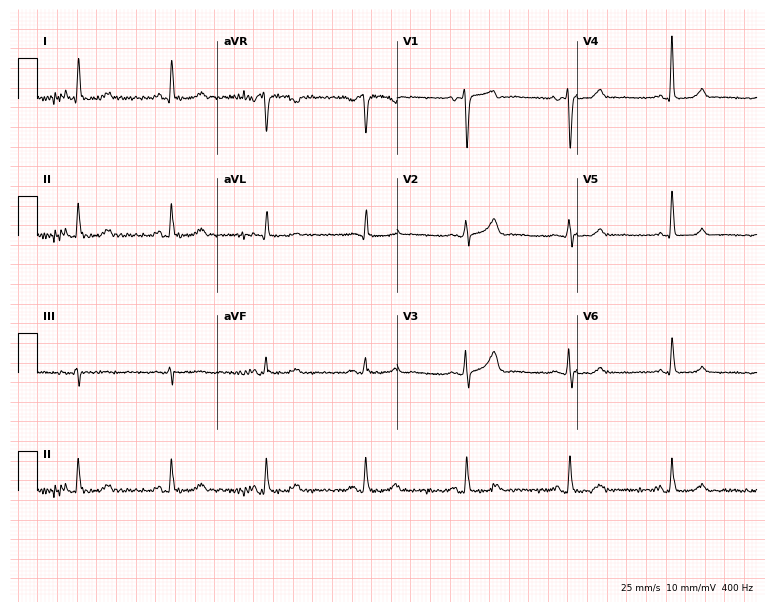
ECG (7.3-second recording at 400 Hz) — a woman, 55 years old. Screened for six findings — first-degree AV block, right bundle branch block, left bundle branch block, sinus bradycardia, atrial fibrillation, sinus tachycardia — none is recorded. Only these six findings were labelled.